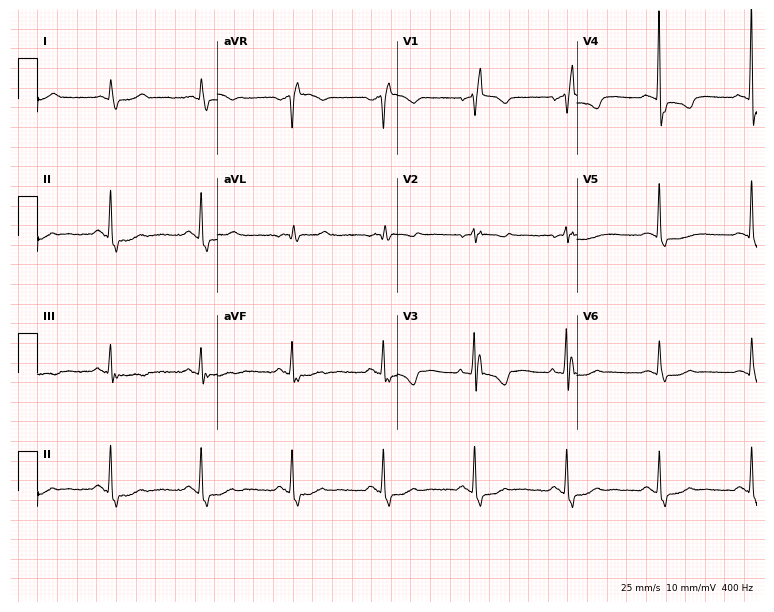
Electrocardiogram, a 74-year-old female patient. Interpretation includes right bundle branch block.